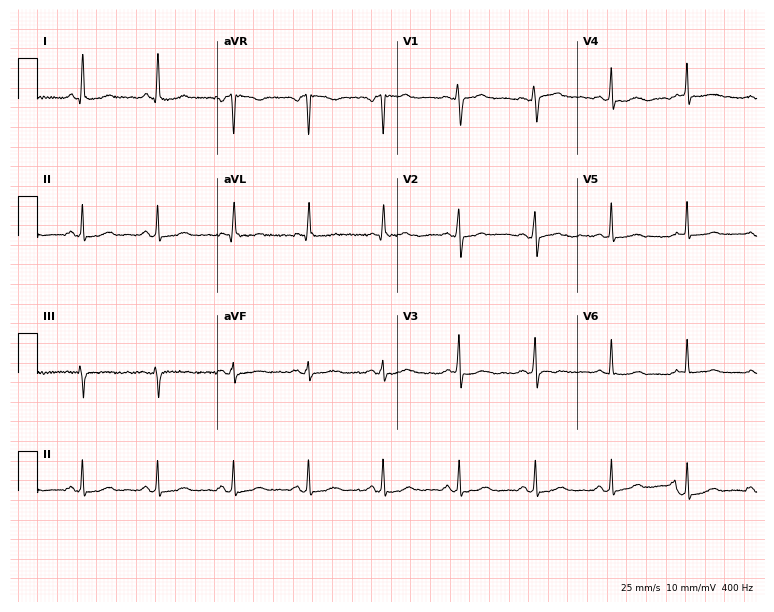
Resting 12-lead electrocardiogram. Patient: a female, 60 years old. None of these six findings is recorded: first-degree AV block, right bundle branch block, left bundle branch block, sinus bradycardia, atrial fibrillation, sinus tachycardia.